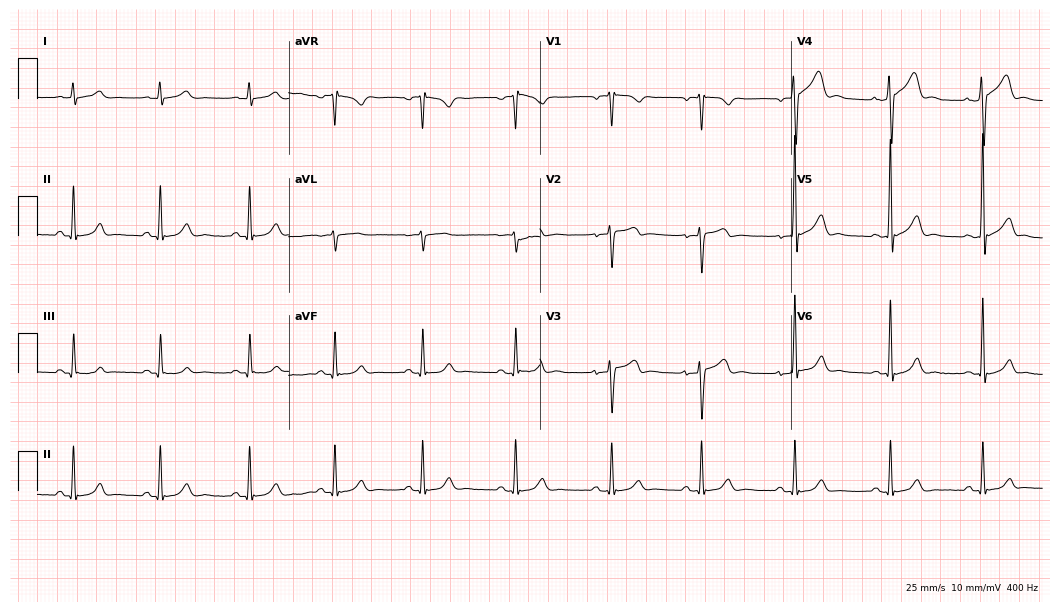
Electrocardiogram, a 35-year-old man. Overall reading on record: normal ECG.